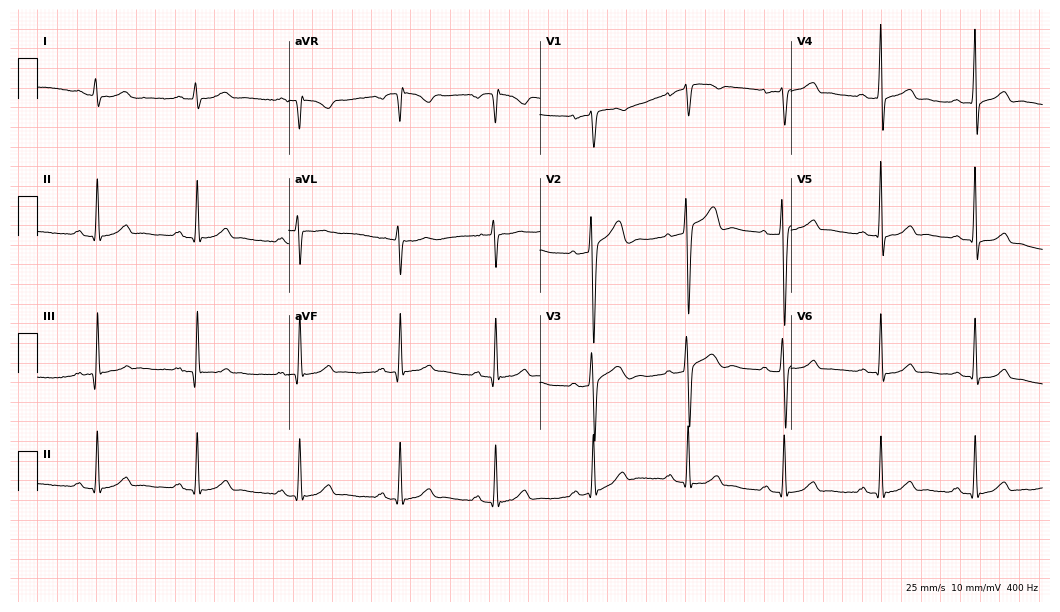
Resting 12-lead electrocardiogram. Patient: a 25-year-old male. Read as a normal ECG.